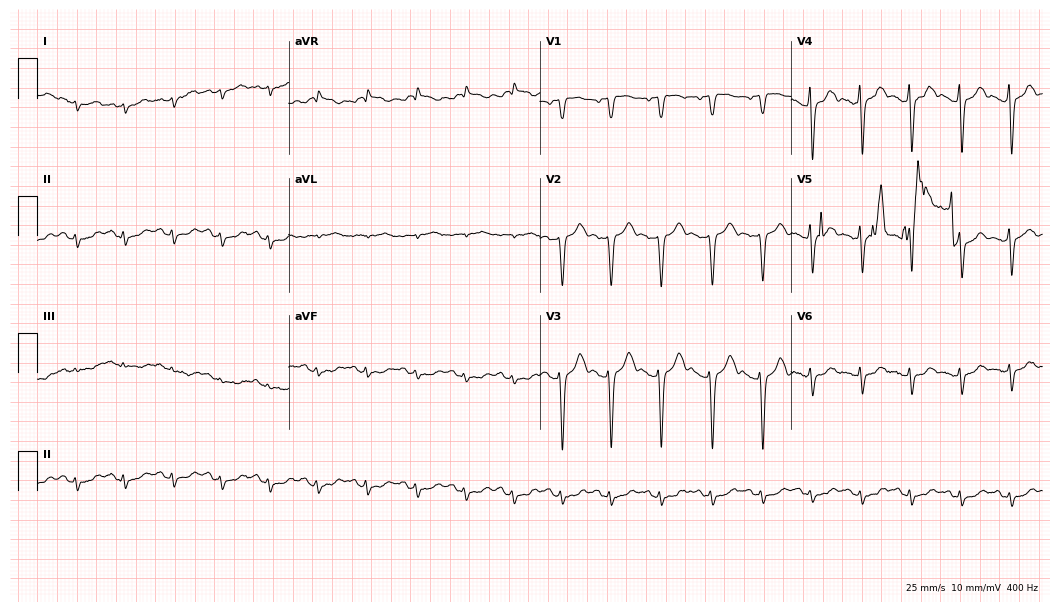
Standard 12-lead ECG recorded from a 38-year-old female patient. None of these six findings is recorded: first-degree AV block, right bundle branch block, left bundle branch block, sinus bradycardia, atrial fibrillation, sinus tachycardia. Other findings, if any, are not listed.